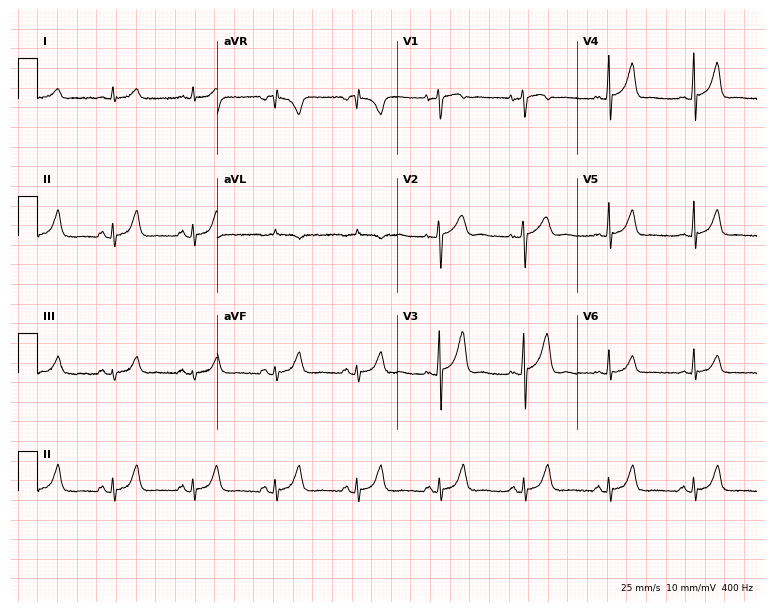
Resting 12-lead electrocardiogram. Patient: a 66-year-old male. Read as a normal ECG.